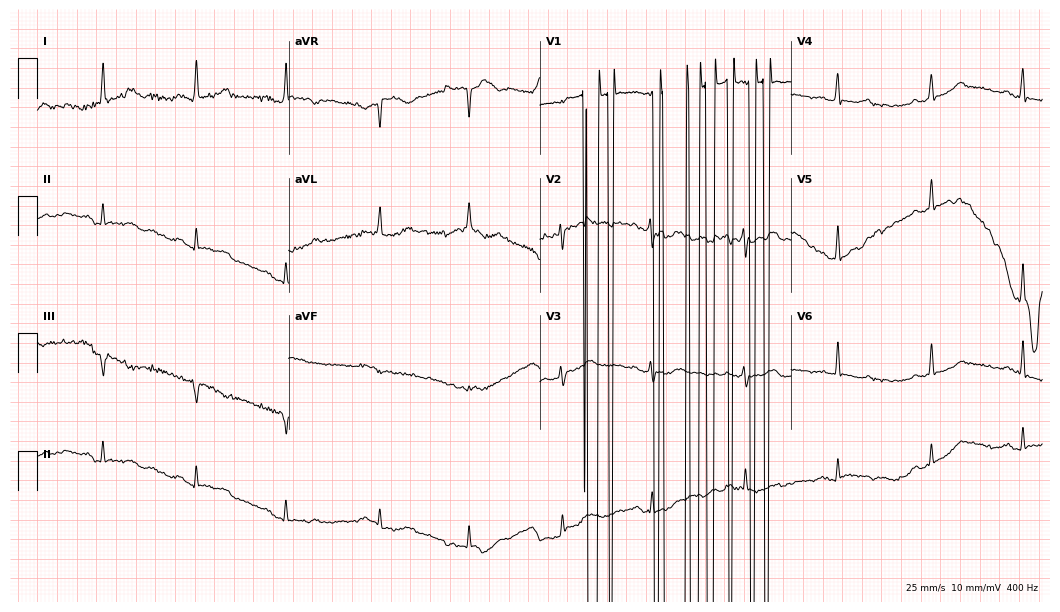
12-lead ECG from a 49-year-old female patient. Screened for six findings — first-degree AV block, right bundle branch block, left bundle branch block, sinus bradycardia, atrial fibrillation, sinus tachycardia — none is recorded. Only these six findings were labelled.